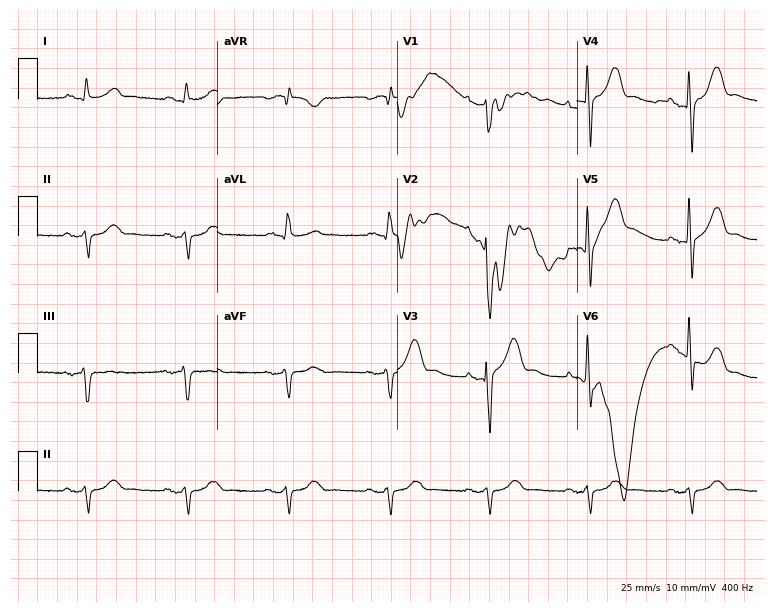
Resting 12-lead electrocardiogram (7.3-second recording at 400 Hz). Patient: a 66-year-old male. None of these six findings is recorded: first-degree AV block, right bundle branch block, left bundle branch block, sinus bradycardia, atrial fibrillation, sinus tachycardia. Only these six findings were labelled.